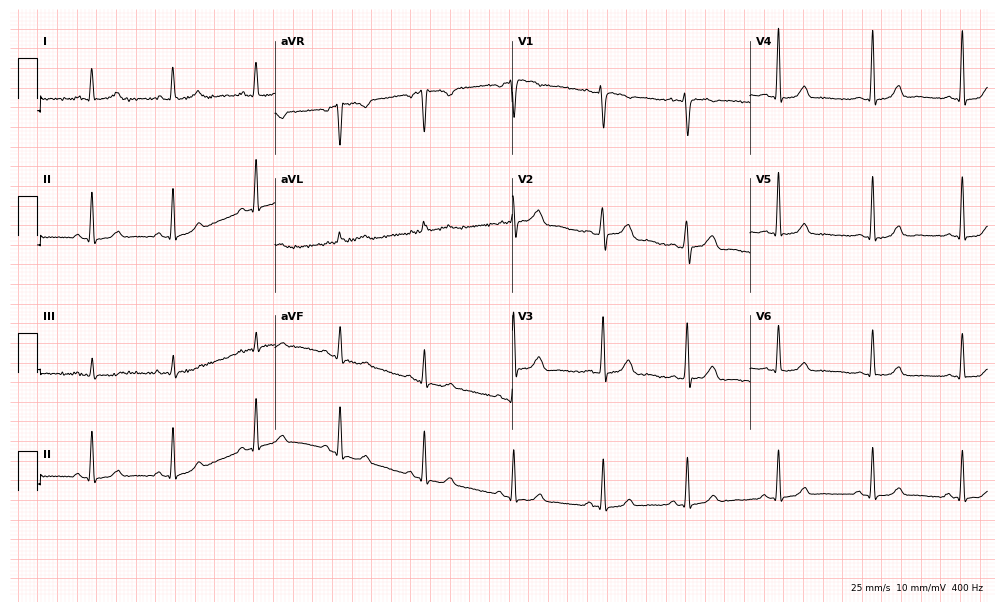
Electrocardiogram (9.7-second recording at 400 Hz), a woman, 34 years old. Overall reading on record: normal ECG.